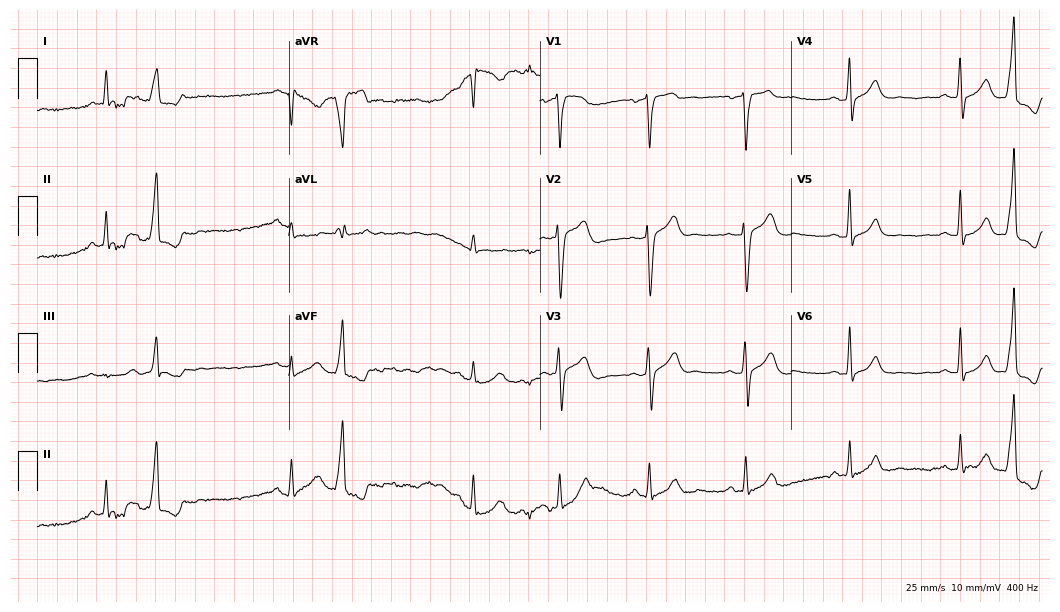
12-lead ECG from a man, 32 years old (10.2-second recording at 400 Hz). No first-degree AV block, right bundle branch block, left bundle branch block, sinus bradycardia, atrial fibrillation or sinus tachycardia recorded for this tracing. Only these six findings were labelled.